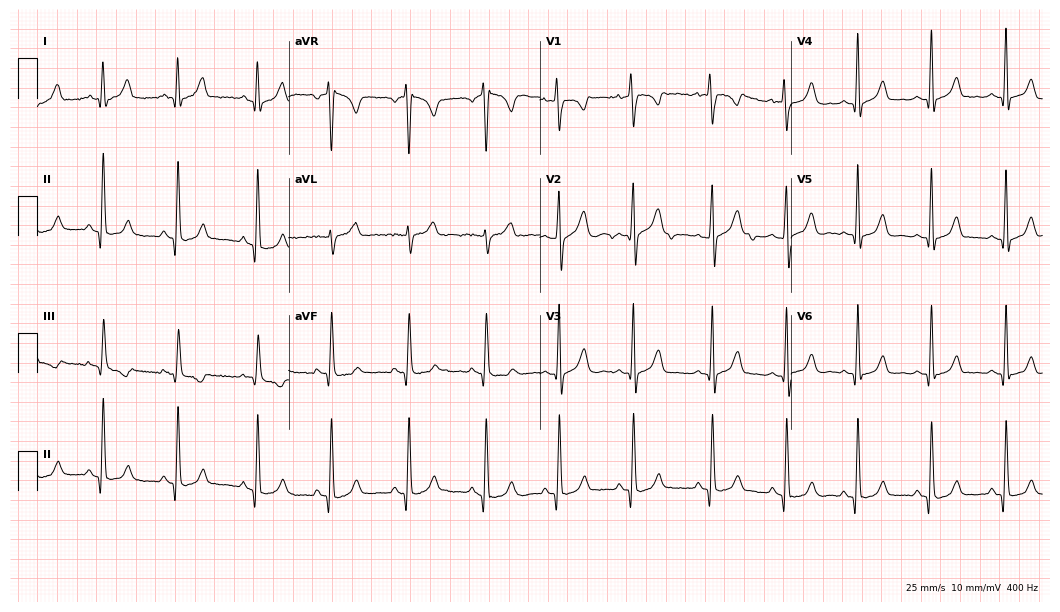
12-lead ECG from a woman, 20 years old. Labelled as a normal ECG.